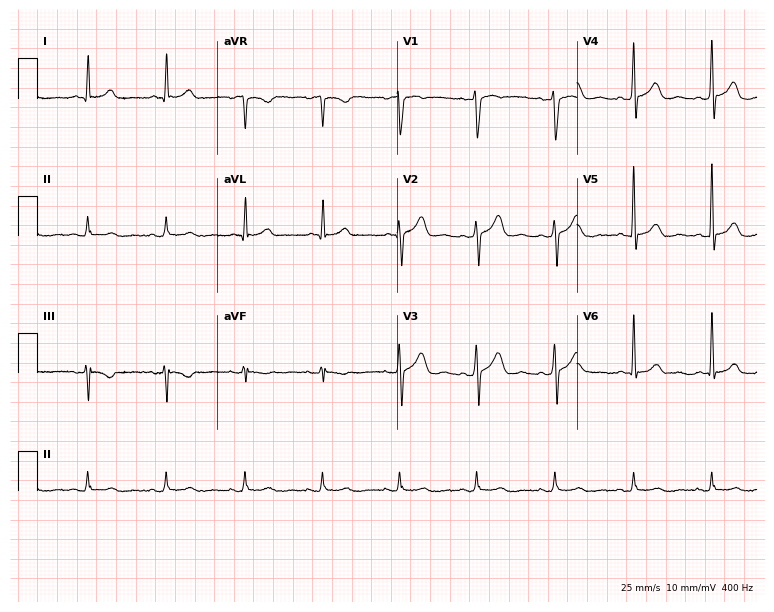
12-lead ECG (7.3-second recording at 400 Hz) from a male, 57 years old. Screened for six findings — first-degree AV block, right bundle branch block, left bundle branch block, sinus bradycardia, atrial fibrillation, sinus tachycardia — none is recorded.